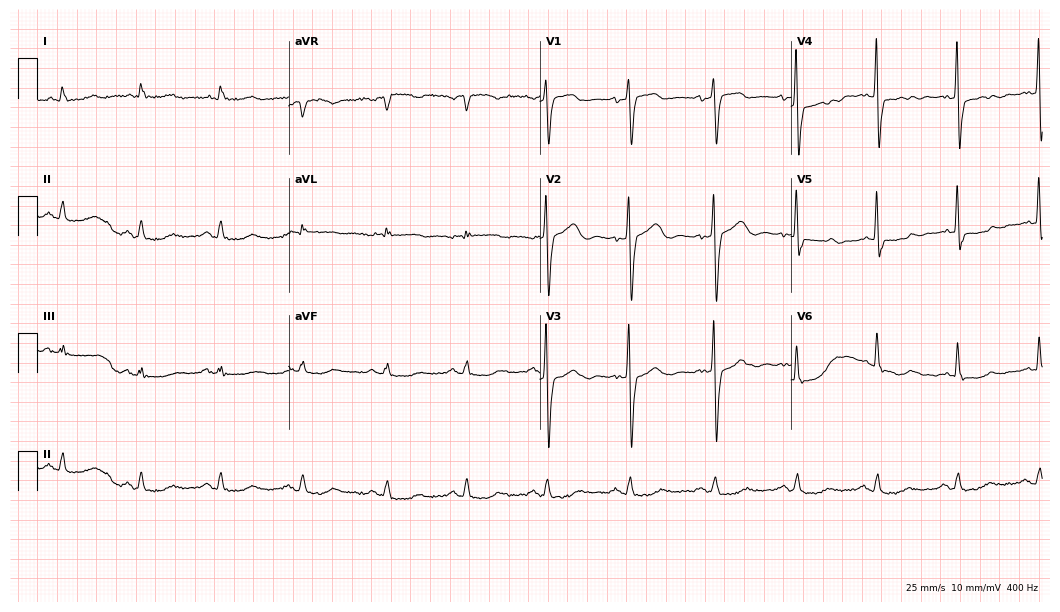
12-lead ECG from a female patient, 64 years old. Screened for six findings — first-degree AV block, right bundle branch block, left bundle branch block, sinus bradycardia, atrial fibrillation, sinus tachycardia — none is recorded.